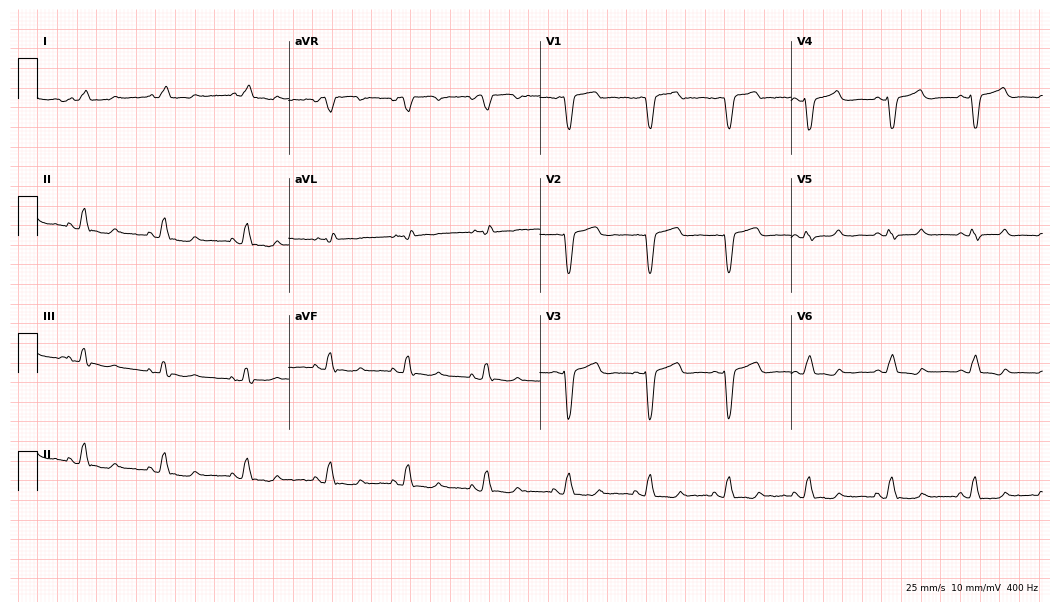
ECG — a female, 58 years old. Findings include left bundle branch block (LBBB).